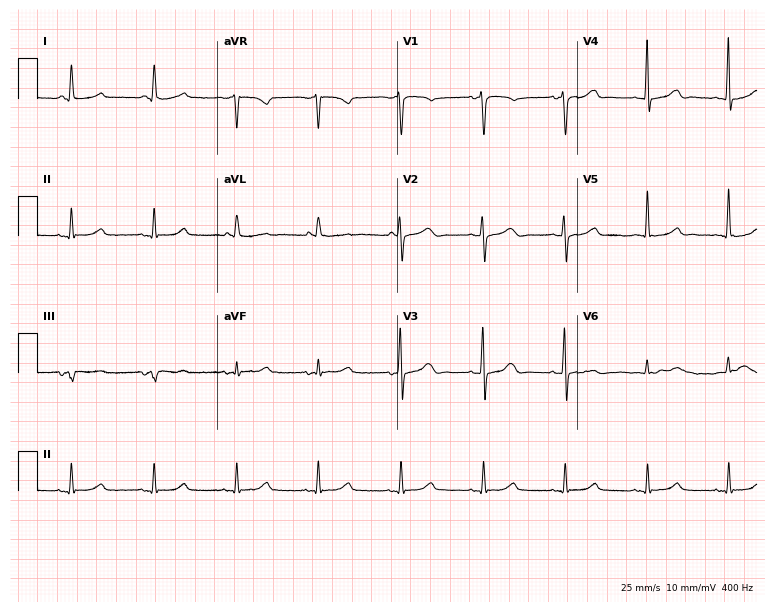
Electrocardiogram, a woman, 75 years old. Overall reading on record: normal ECG.